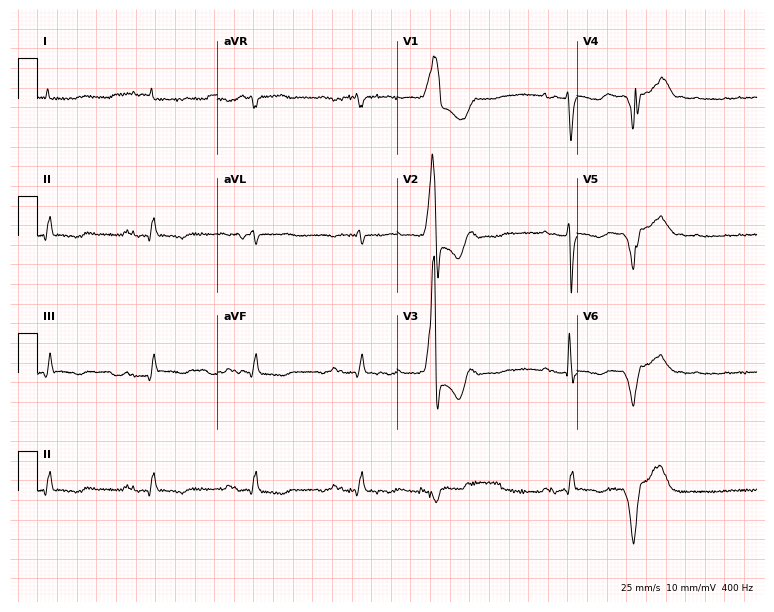
Resting 12-lead electrocardiogram. Patient: a 65-year-old male. The tracing shows first-degree AV block.